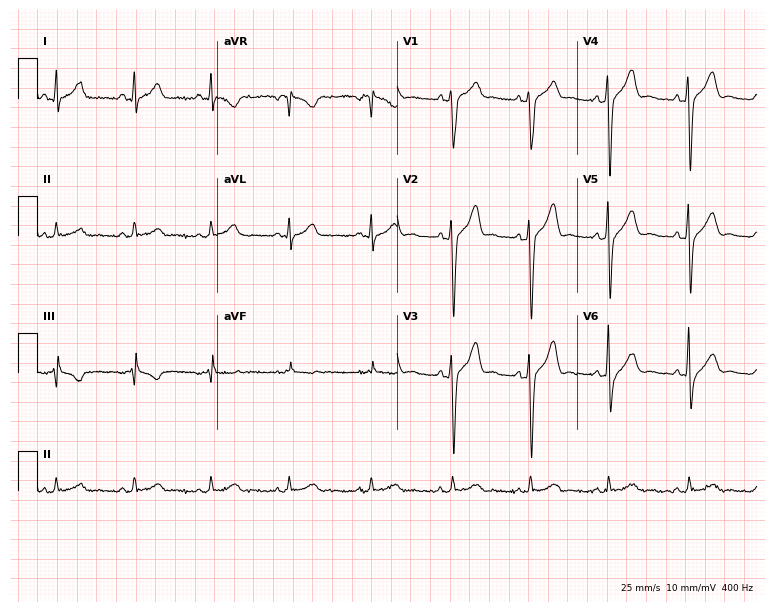
ECG — a 41-year-old man. Screened for six findings — first-degree AV block, right bundle branch block (RBBB), left bundle branch block (LBBB), sinus bradycardia, atrial fibrillation (AF), sinus tachycardia — none is recorded.